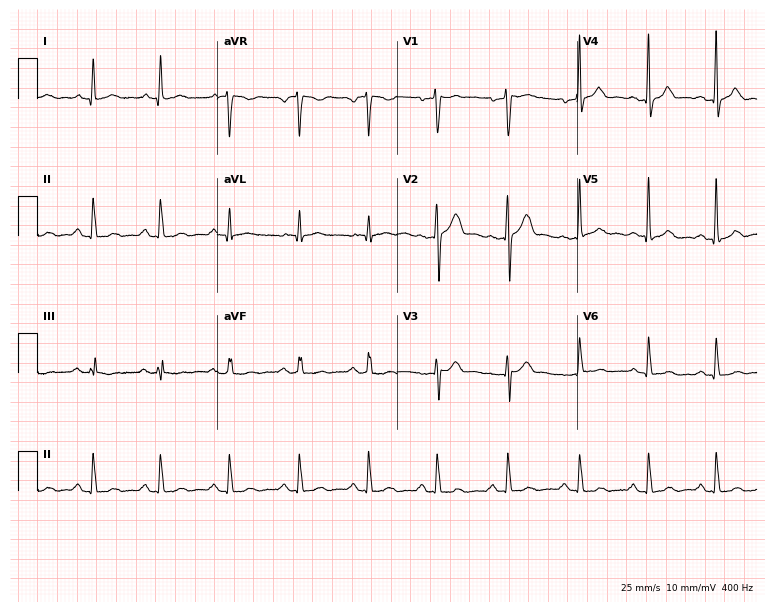
Standard 12-lead ECG recorded from a 43-year-old male patient (7.3-second recording at 400 Hz). Read as a normal ECG.